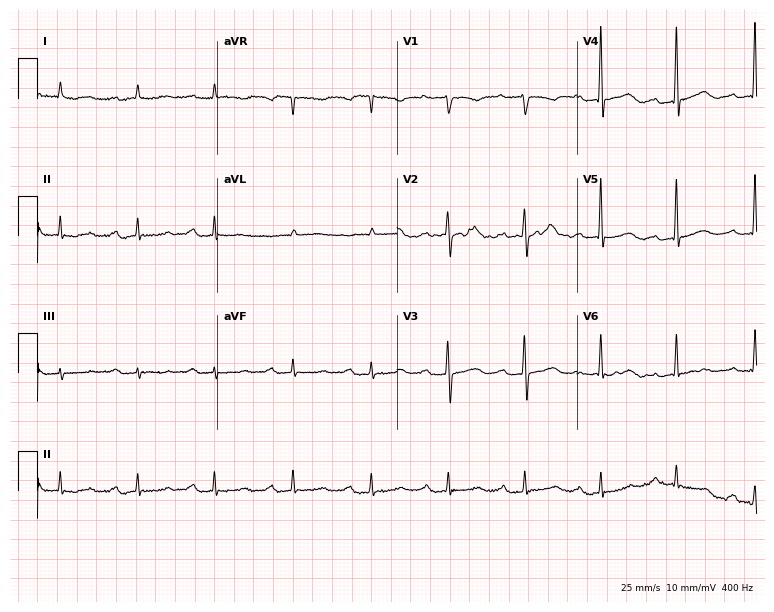
Standard 12-lead ECG recorded from an 84-year-old man (7.3-second recording at 400 Hz). The tracing shows first-degree AV block.